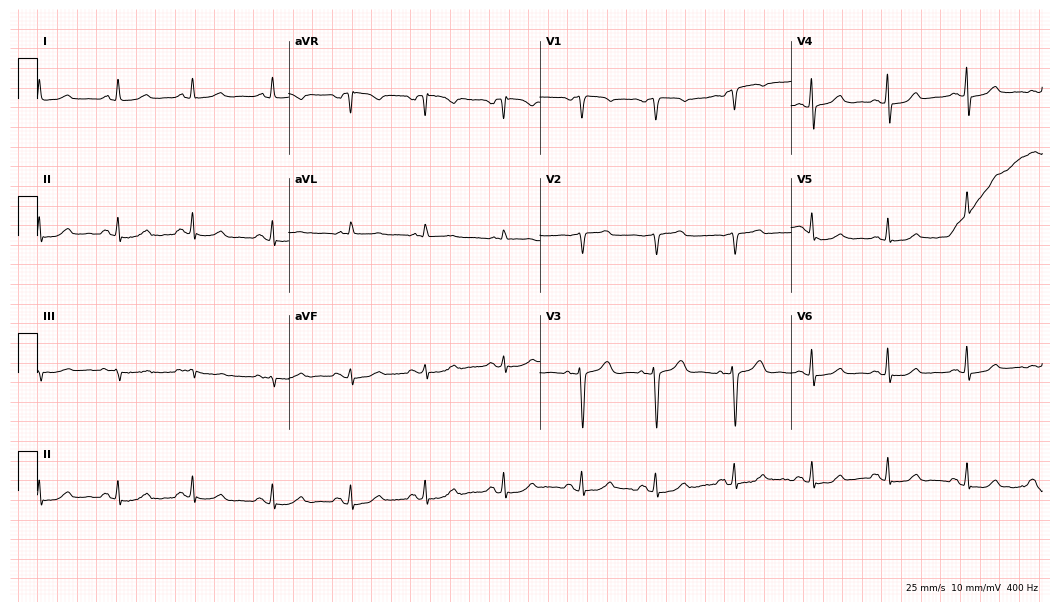
Resting 12-lead electrocardiogram (10.2-second recording at 400 Hz). Patient: a 77-year-old female. Read as a normal ECG.